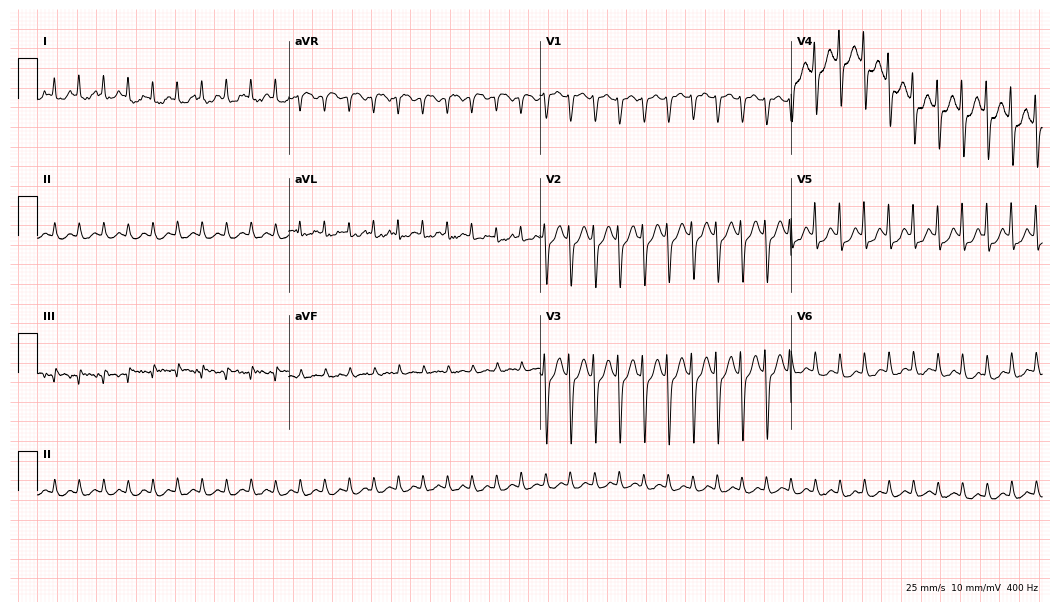
Resting 12-lead electrocardiogram. Patient: a 50-year-old female. The tracing shows sinus tachycardia (a sinus rate of 100 beats per minute or more).